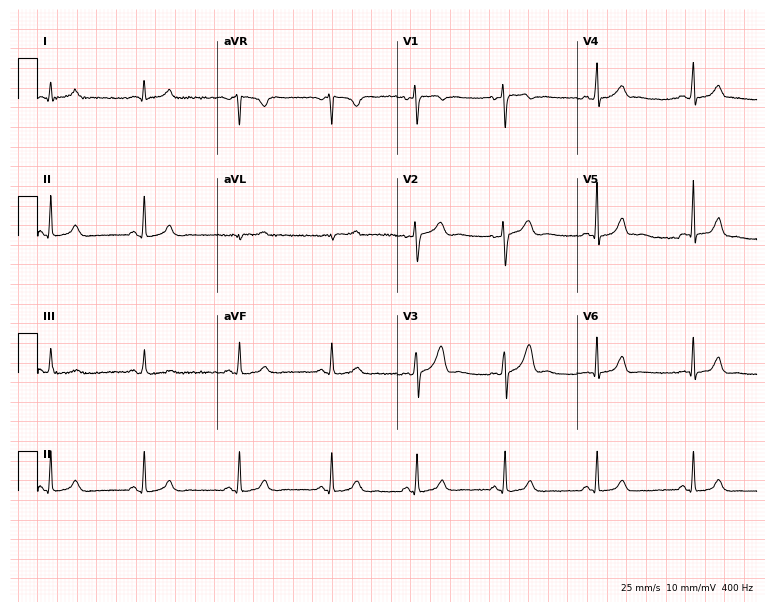
Electrocardiogram (7.3-second recording at 400 Hz), a 27-year-old woman. Overall reading on record: normal ECG.